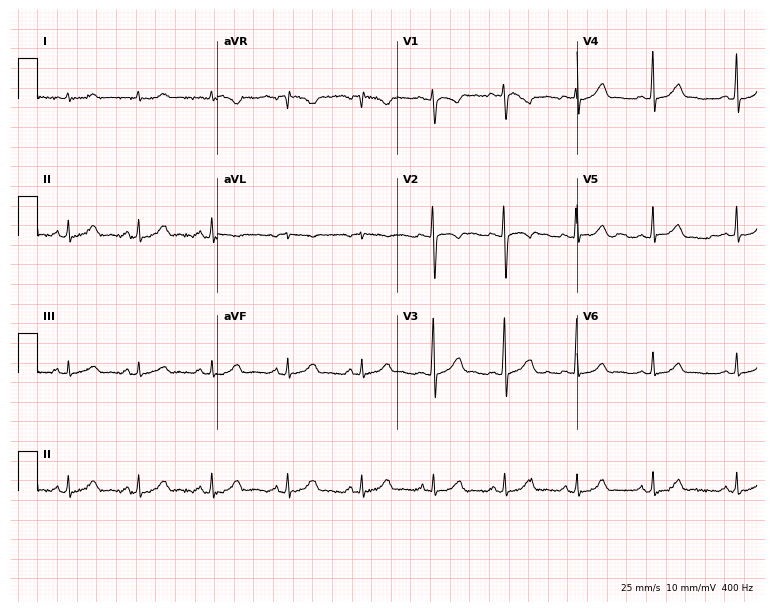
Electrocardiogram (7.3-second recording at 400 Hz), an 18-year-old female. Of the six screened findings (first-degree AV block, right bundle branch block, left bundle branch block, sinus bradycardia, atrial fibrillation, sinus tachycardia), none is recorded.